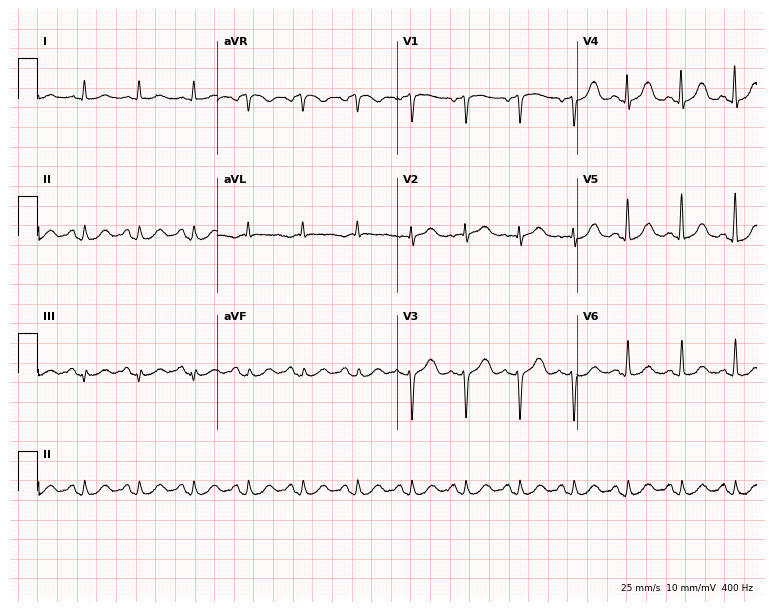
Electrocardiogram (7.3-second recording at 400 Hz), a female, 82 years old. Interpretation includes sinus tachycardia (a sinus rate of 100 beats per minute or more).